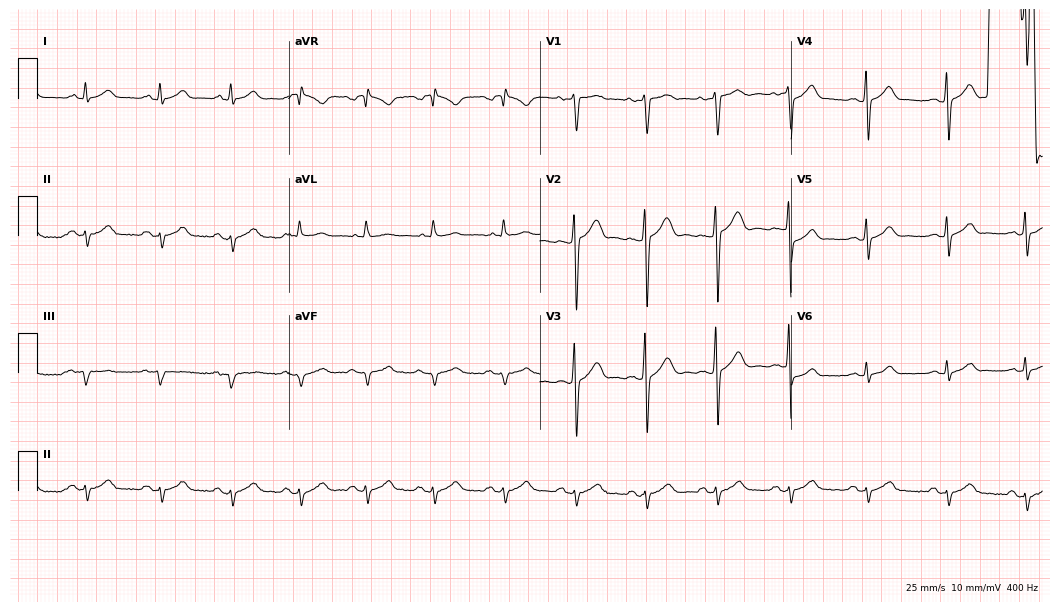
Electrocardiogram, a male, 20 years old. Of the six screened findings (first-degree AV block, right bundle branch block, left bundle branch block, sinus bradycardia, atrial fibrillation, sinus tachycardia), none is recorded.